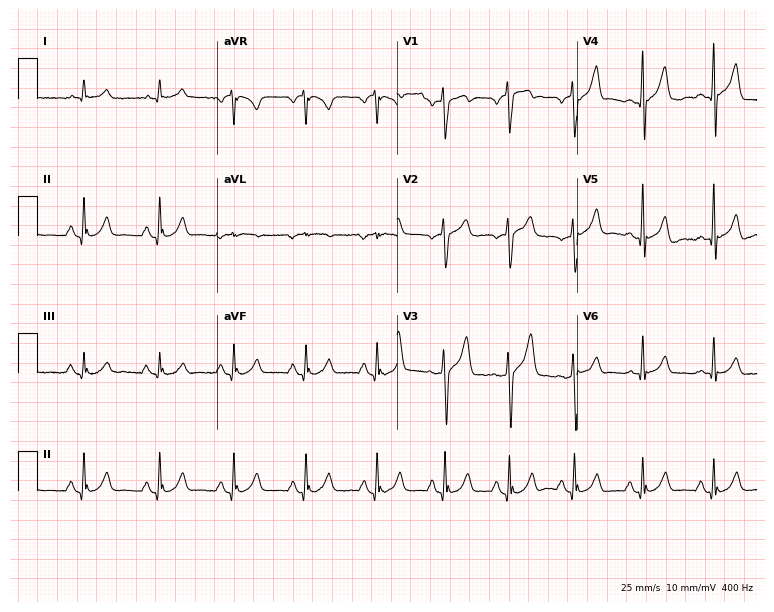
12-lead ECG from a 46-year-old man. Recorded interpretation: within normal limits.